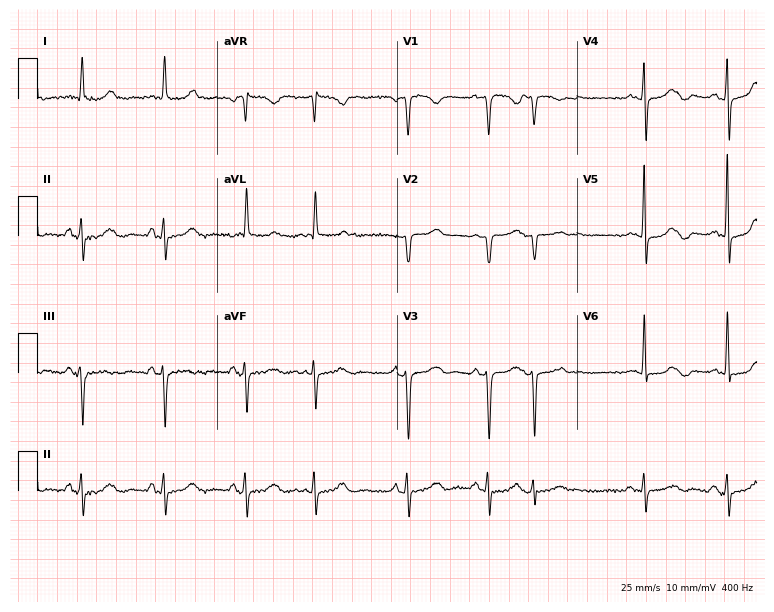
Electrocardiogram, an 80-year-old female. Overall reading on record: normal ECG.